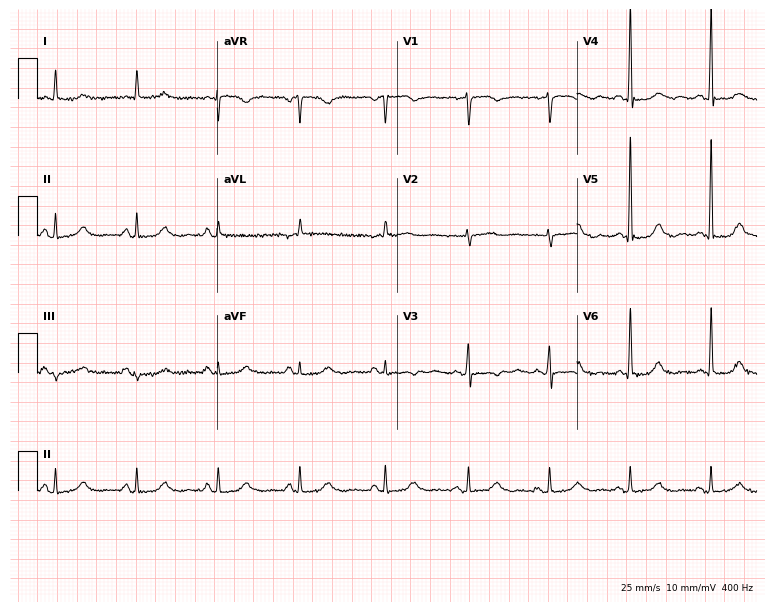
ECG — a 73-year-old woman. Labelled as a normal ECG.